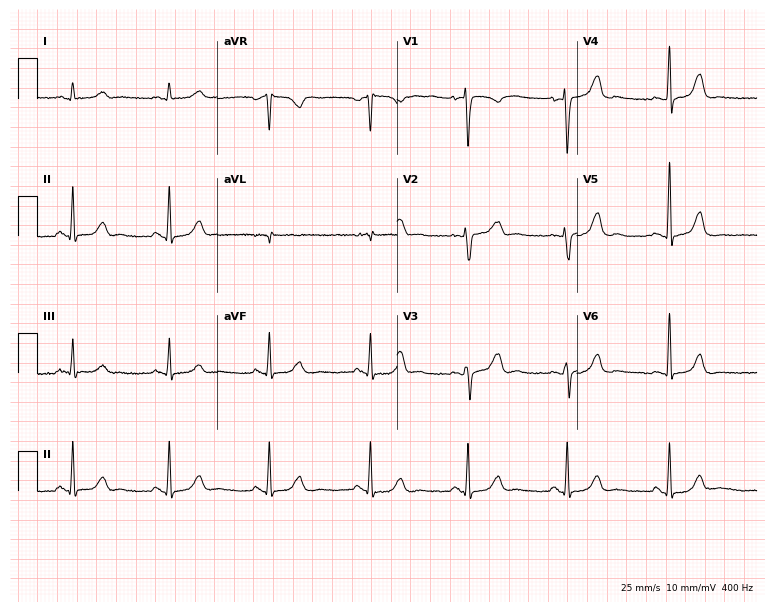
Electrocardiogram, a woman, 45 years old. Of the six screened findings (first-degree AV block, right bundle branch block (RBBB), left bundle branch block (LBBB), sinus bradycardia, atrial fibrillation (AF), sinus tachycardia), none is recorded.